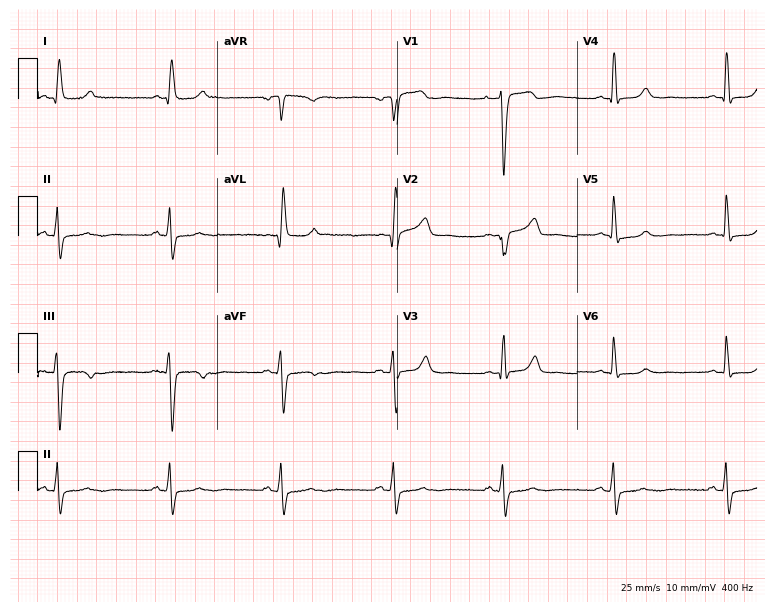
ECG (7.3-second recording at 400 Hz) — a 53-year-old woman. Screened for six findings — first-degree AV block, right bundle branch block (RBBB), left bundle branch block (LBBB), sinus bradycardia, atrial fibrillation (AF), sinus tachycardia — none is recorded. Other findings, if any, are not listed.